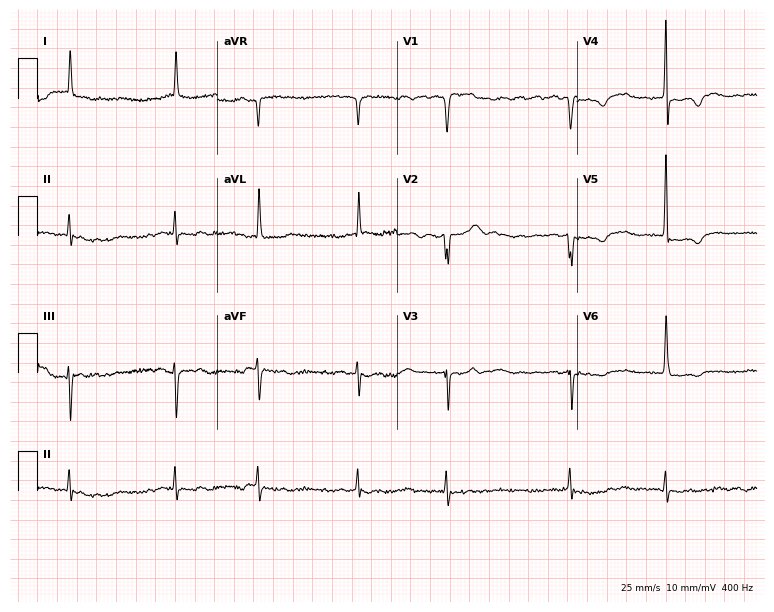
Standard 12-lead ECG recorded from an 85-year-old female (7.3-second recording at 400 Hz). The tracing shows atrial fibrillation (AF).